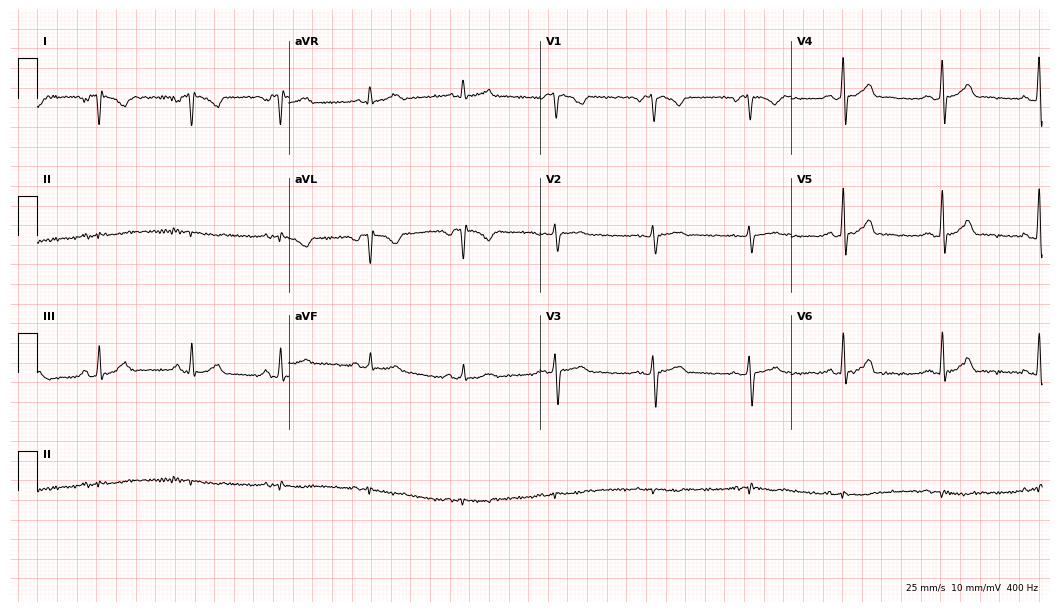
12-lead ECG from a woman, 35 years old. Recorded interpretation: within normal limits.